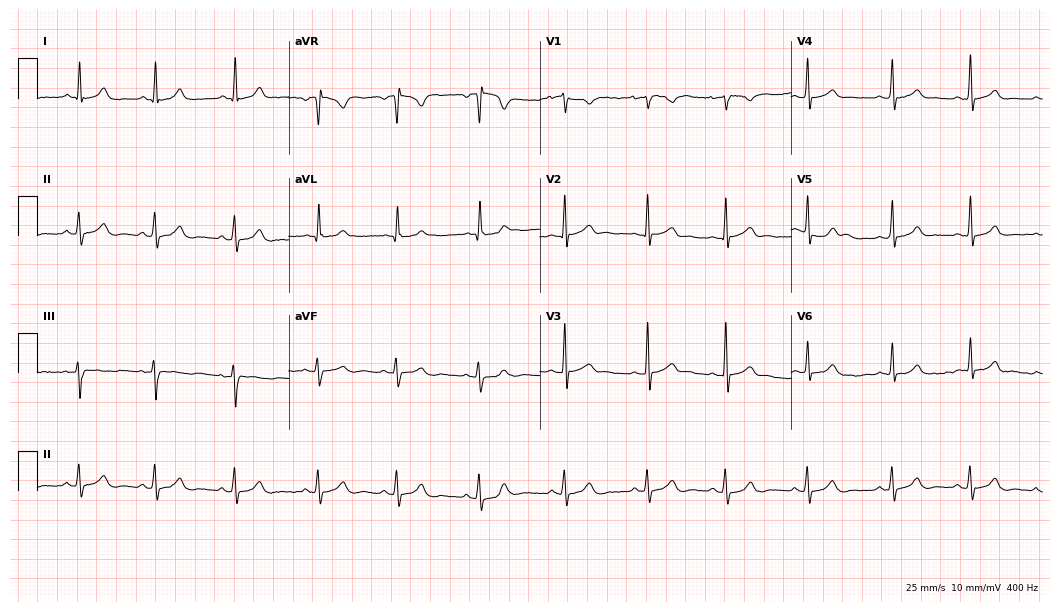
Resting 12-lead electrocardiogram. Patient: a female, 25 years old. Read as a normal ECG.